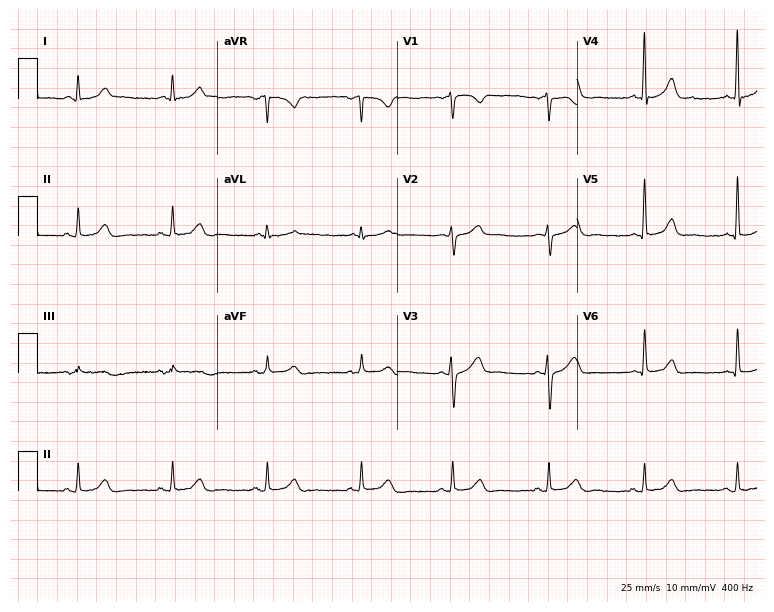
ECG (7.3-second recording at 400 Hz) — a female, 44 years old. Labelled as a normal ECG.